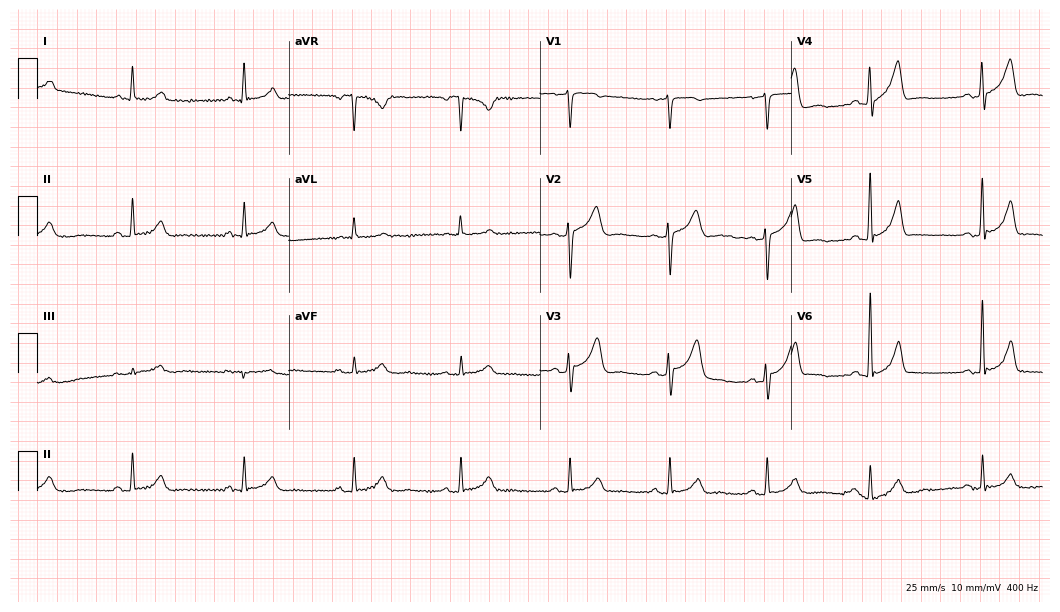
Resting 12-lead electrocardiogram (10.2-second recording at 400 Hz). Patient: a male, 57 years old. Read as a normal ECG.